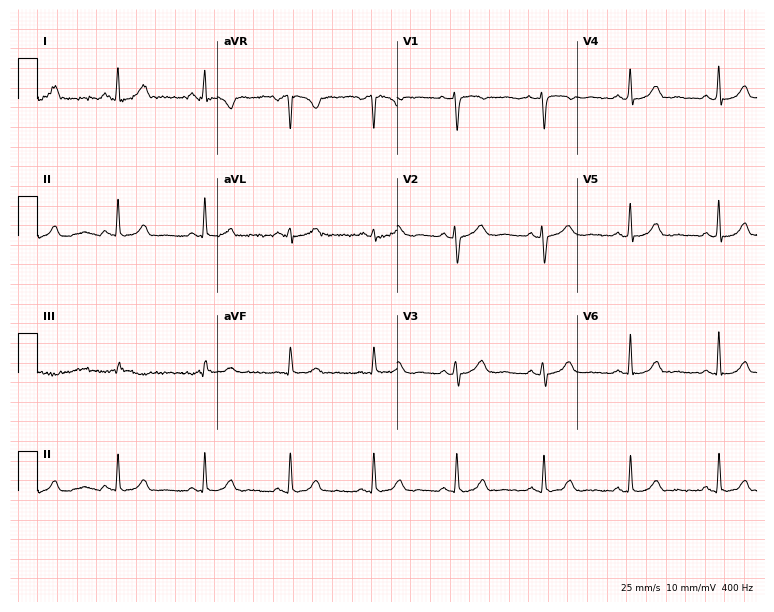
ECG — a woman, 28 years old. Labelled as a normal ECG.